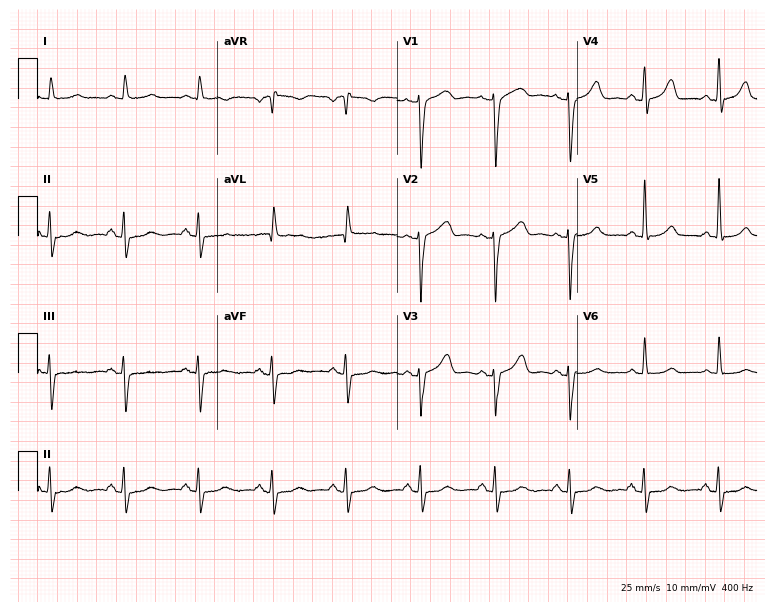
ECG (7.3-second recording at 400 Hz) — a female, 85 years old. Screened for six findings — first-degree AV block, right bundle branch block, left bundle branch block, sinus bradycardia, atrial fibrillation, sinus tachycardia — none is recorded. Other findings, if any, are not listed.